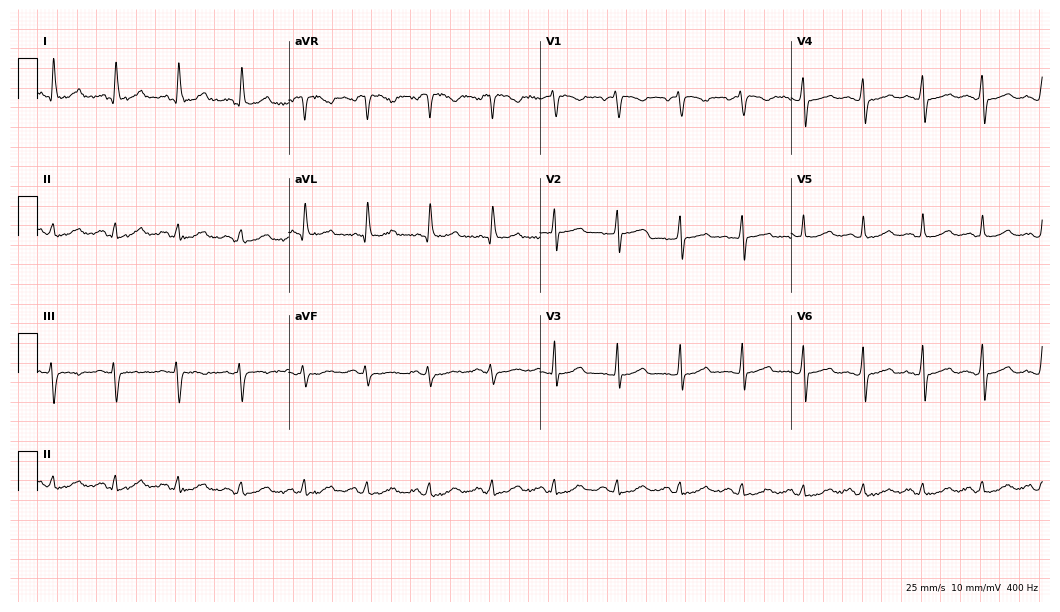
ECG — a 42-year-old female patient. Screened for six findings — first-degree AV block, right bundle branch block, left bundle branch block, sinus bradycardia, atrial fibrillation, sinus tachycardia — none is recorded. Other findings, if any, are not listed.